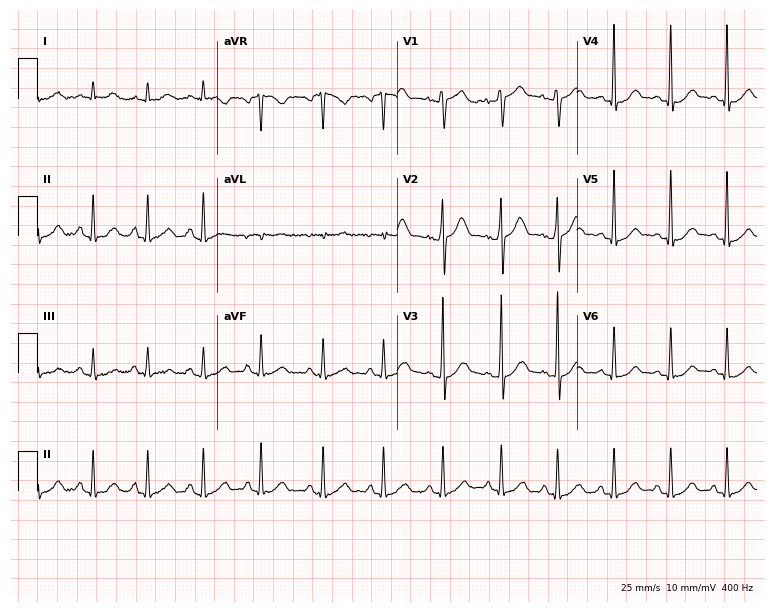
Resting 12-lead electrocardiogram. Patient: a 34-year-old man. The tracing shows sinus tachycardia (a sinus rate of 100 beats per minute or more).